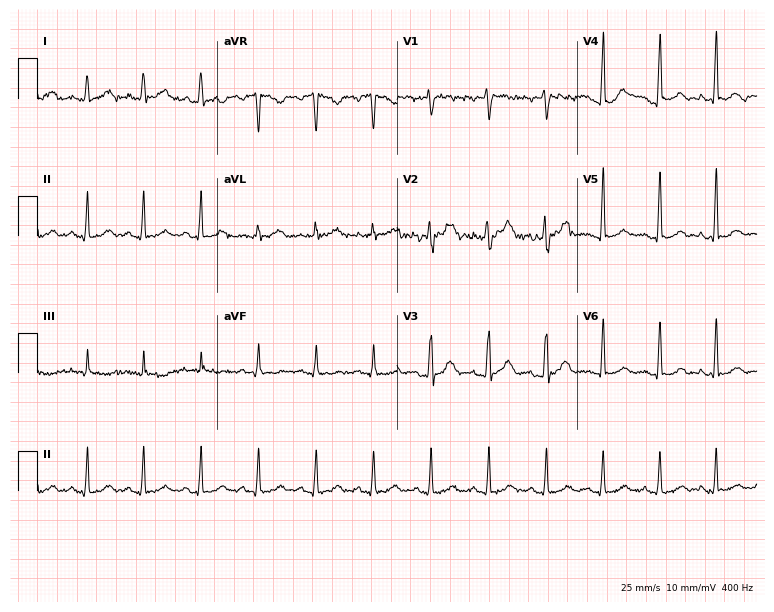
12-lead ECG from a 33-year-old male (7.3-second recording at 400 Hz). Shows sinus tachycardia (a sinus rate of 100 beats per minute or more).